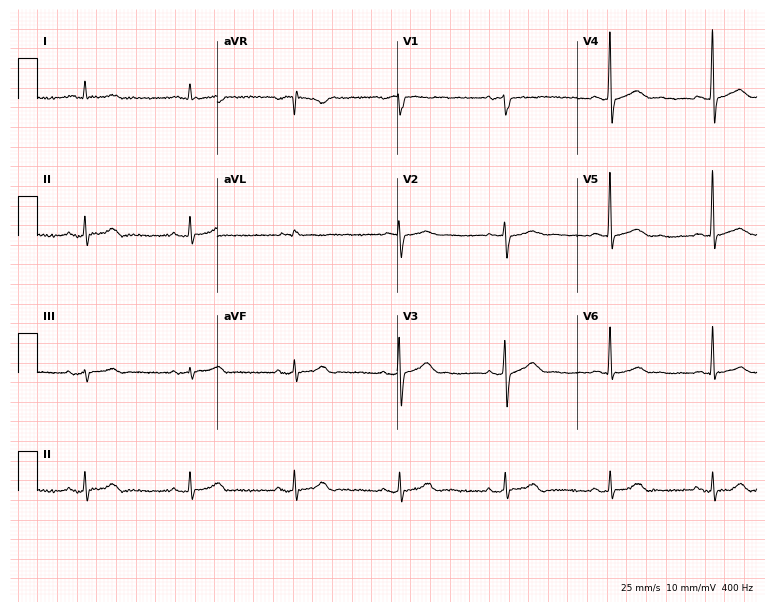
12-lead ECG from a 74-year-old man (7.3-second recording at 400 Hz). No first-degree AV block, right bundle branch block (RBBB), left bundle branch block (LBBB), sinus bradycardia, atrial fibrillation (AF) or sinus tachycardia recorded for this tracing. Findings outside these six are not listed.